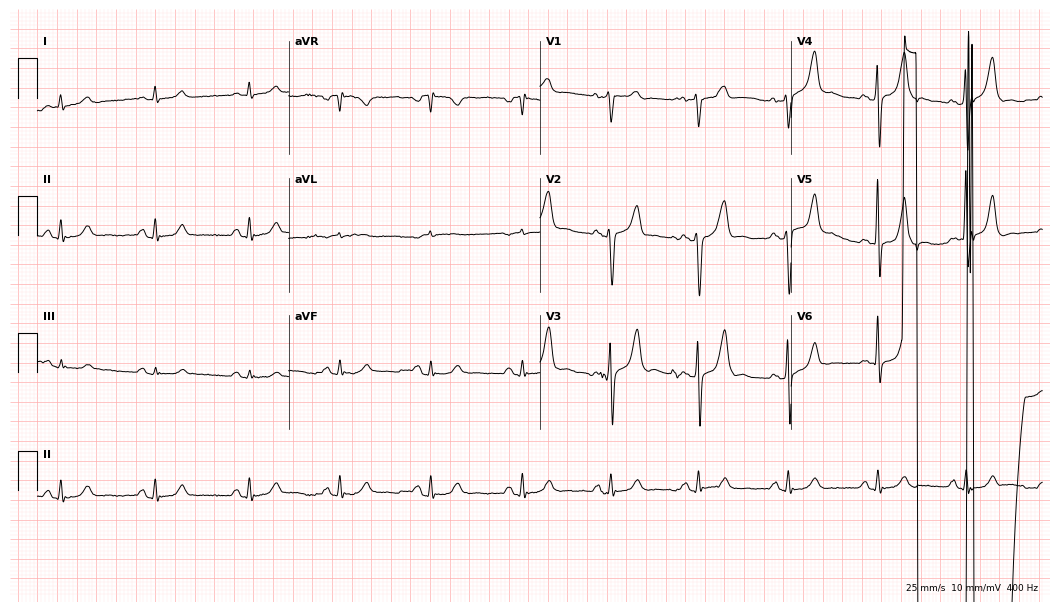
12-lead ECG from a 45-year-old male. Screened for six findings — first-degree AV block, right bundle branch block, left bundle branch block, sinus bradycardia, atrial fibrillation, sinus tachycardia — none is recorded.